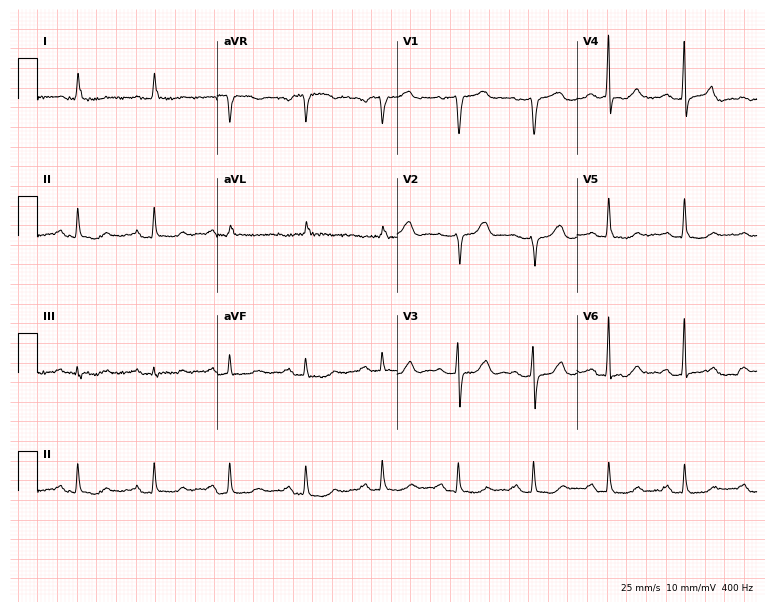
12-lead ECG from a female, 82 years old (7.3-second recording at 400 Hz). No first-degree AV block, right bundle branch block, left bundle branch block, sinus bradycardia, atrial fibrillation or sinus tachycardia recorded for this tracing. Findings outside these six are not listed.